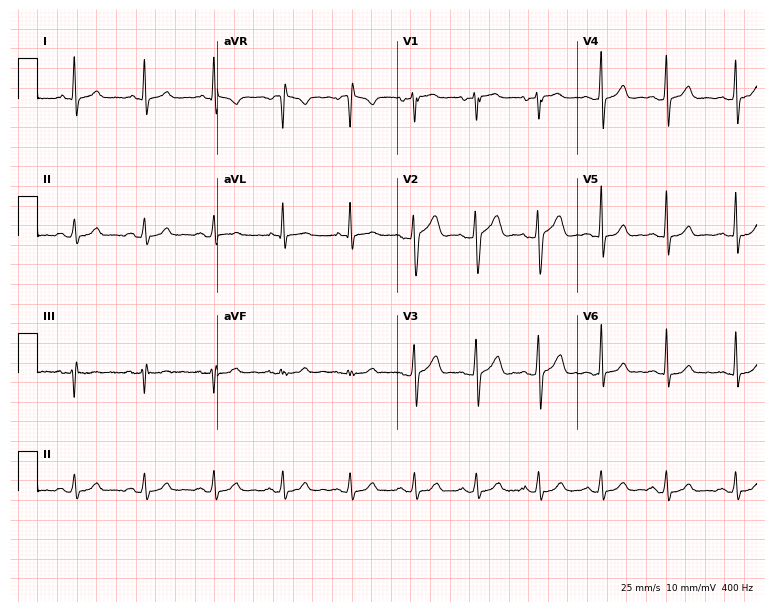
12-lead ECG (7.3-second recording at 400 Hz) from a 27-year-old male patient. Labelled as a normal ECG.